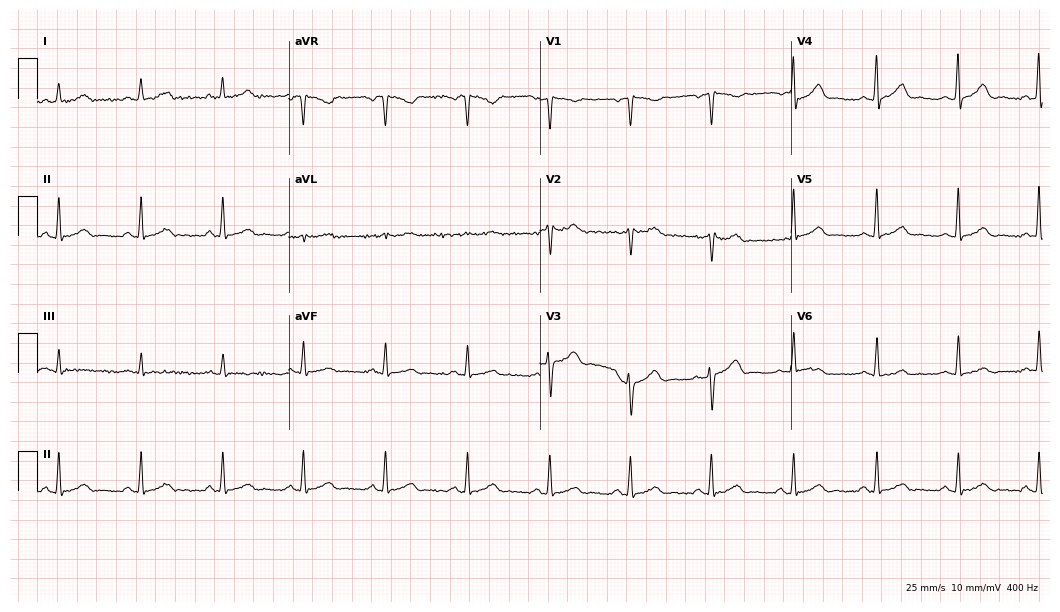
Resting 12-lead electrocardiogram. Patient: a female, 55 years old. None of these six findings is recorded: first-degree AV block, right bundle branch block (RBBB), left bundle branch block (LBBB), sinus bradycardia, atrial fibrillation (AF), sinus tachycardia. Other findings, if any, are not listed.